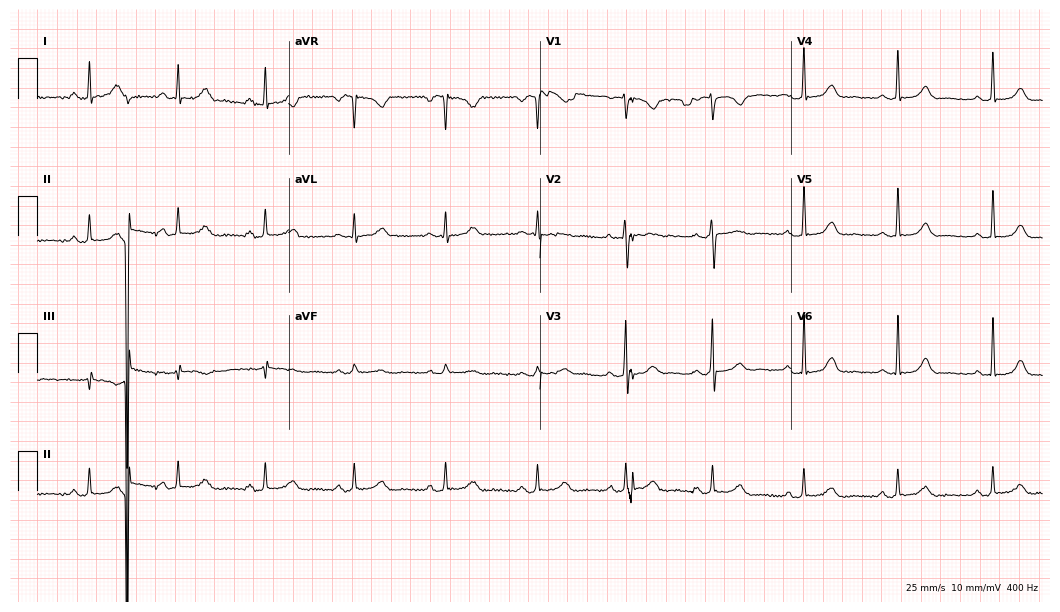
Resting 12-lead electrocardiogram. Patient: a 30-year-old female. Read as a normal ECG.